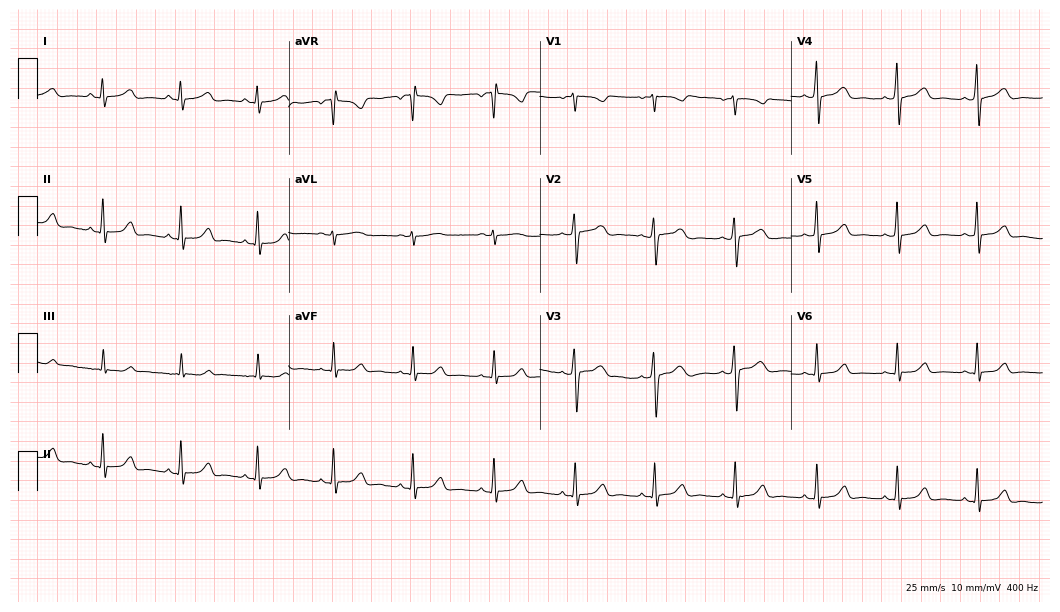
12-lead ECG (10.2-second recording at 400 Hz) from a 17-year-old woman. Labelled as a normal ECG.